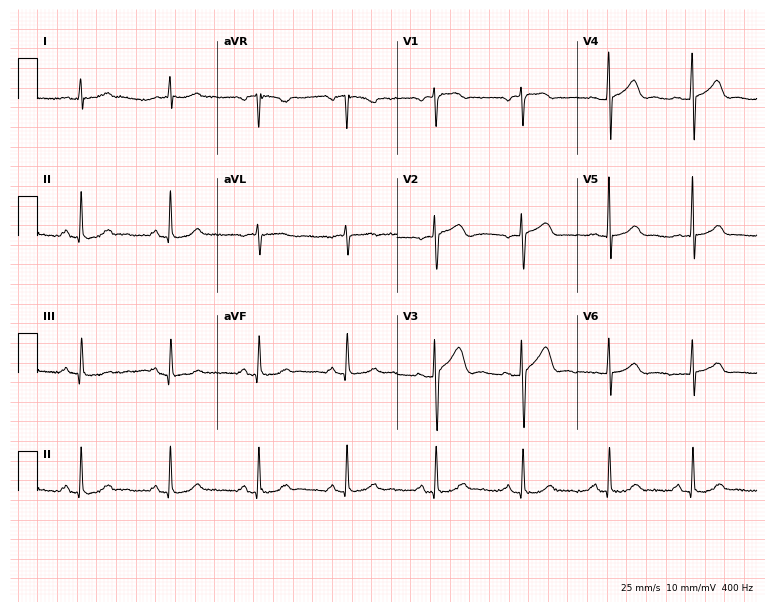
ECG (7.3-second recording at 400 Hz) — a woman, 61 years old. Labelled as a normal ECG.